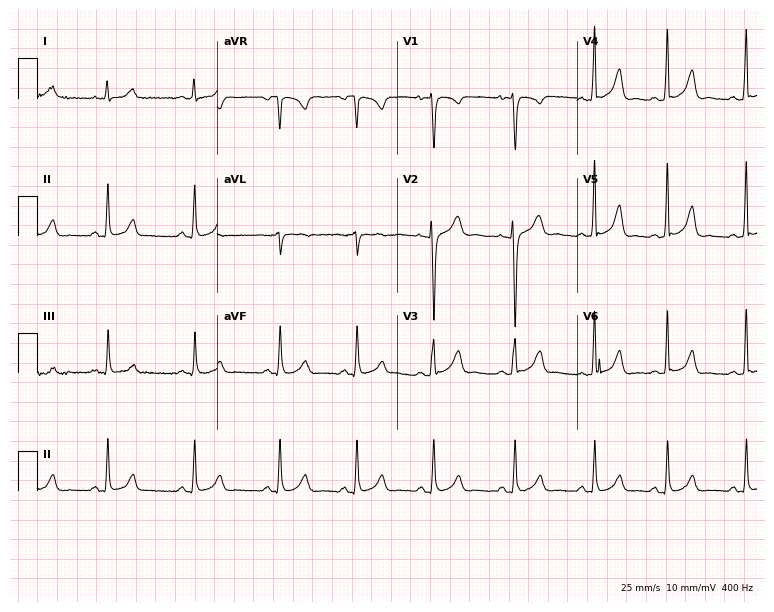
Standard 12-lead ECG recorded from a 23-year-old woman (7.3-second recording at 400 Hz). None of these six findings is recorded: first-degree AV block, right bundle branch block, left bundle branch block, sinus bradycardia, atrial fibrillation, sinus tachycardia. Other findings, if any, are not listed.